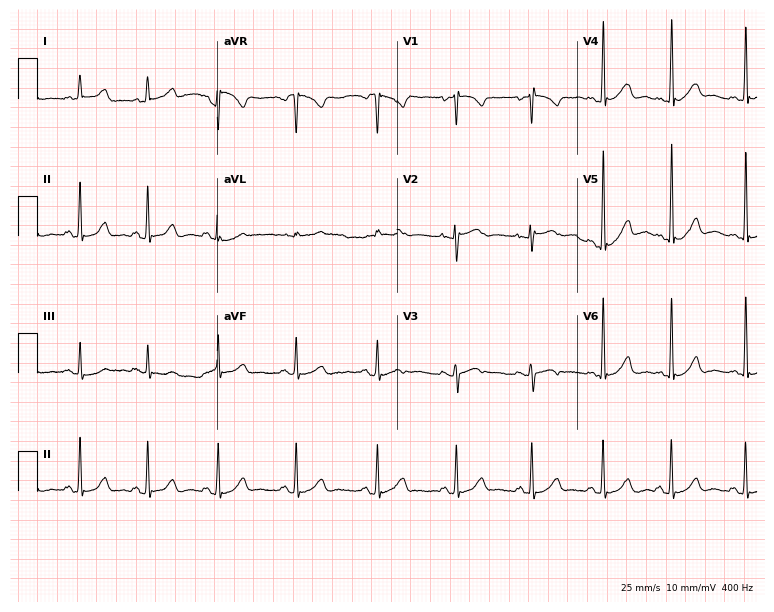
Standard 12-lead ECG recorded from a female, 42 years old (7.3-second recording at 400 Hz). None of these six findings is recorded: first-degree AV block, right bundle branch block, left bundle branch block, sinus bradycardia, atrial fibrillation, sinus tachycardia. Only these six findings were labelled.